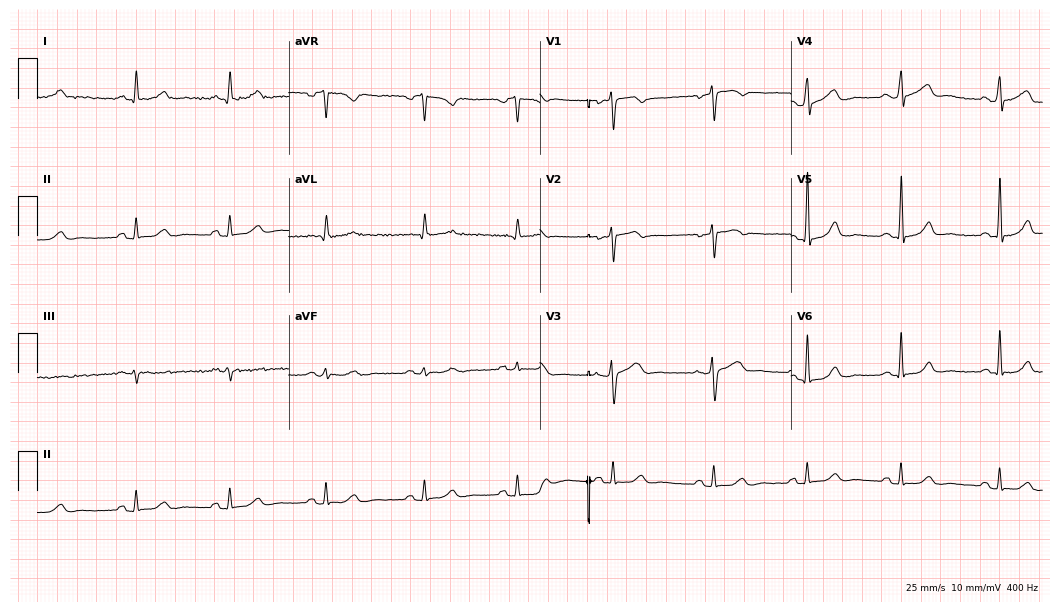
12-lead ECG from a female, 46 years old. Labelled as a normal ECG.